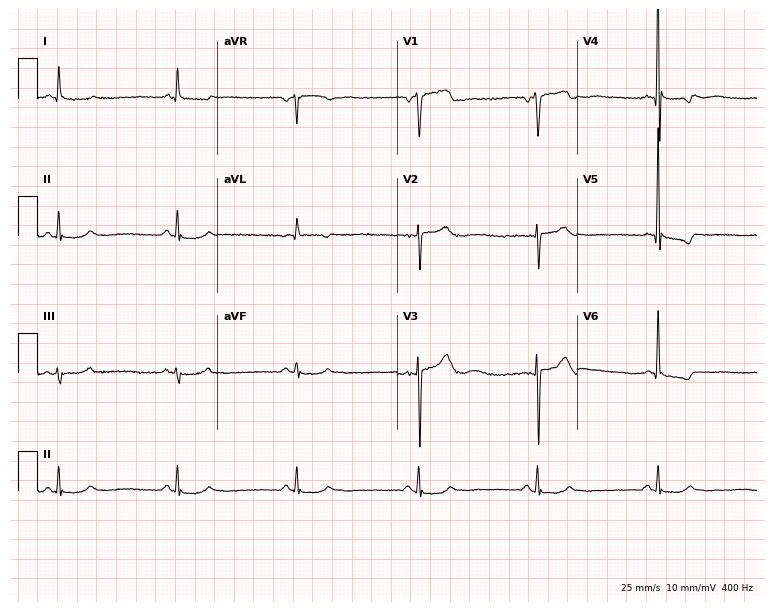
Standard 12-lead ECG recorded from a 55-year-old male (7.3-second recording at 400 Hz). The tracing shows sinus bradycardia (a sinus rate of 50 beats per minute or less).